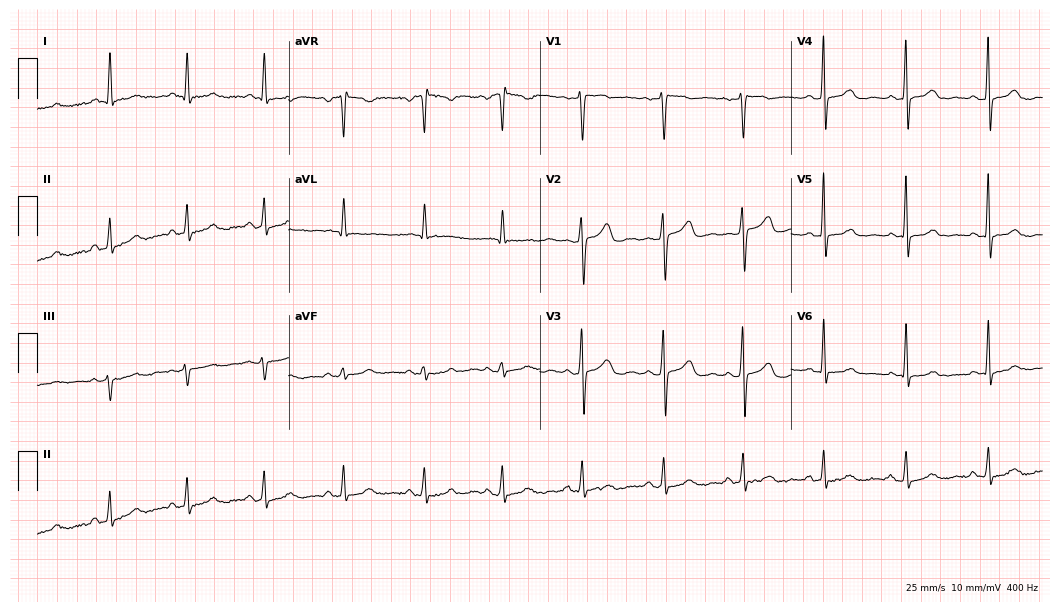
Electrocardiogram, a 31-year-old woman. Overall reading on record: normal ECG.